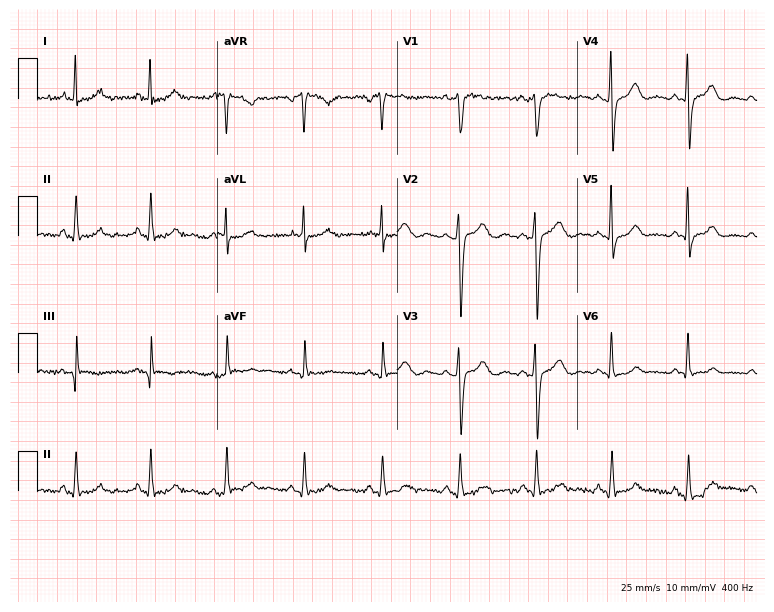
12-lead ECG from a female, 46 years old. No first-degree AV block, right bundle branch block, left bundle branch block, sinus bradycardia, atrial fibrillation or sinus tachycardia recorded for this tracing. Other findings, if any, are not listed.